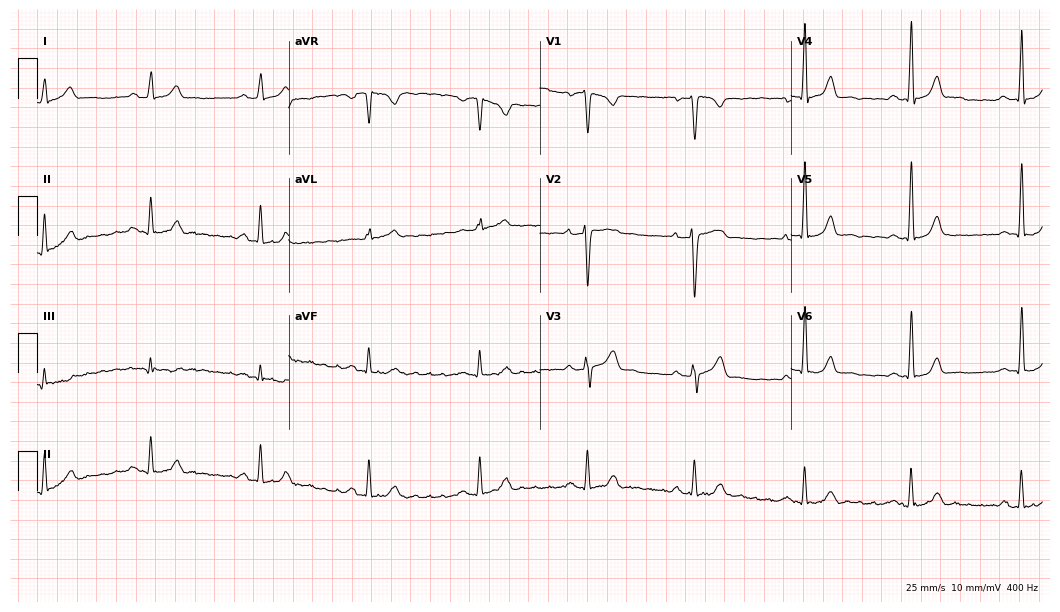
12-lead ECG from a man, 40 years old (10.2-second recording at 400 Hz). Recorded interpretation: within normal limits.